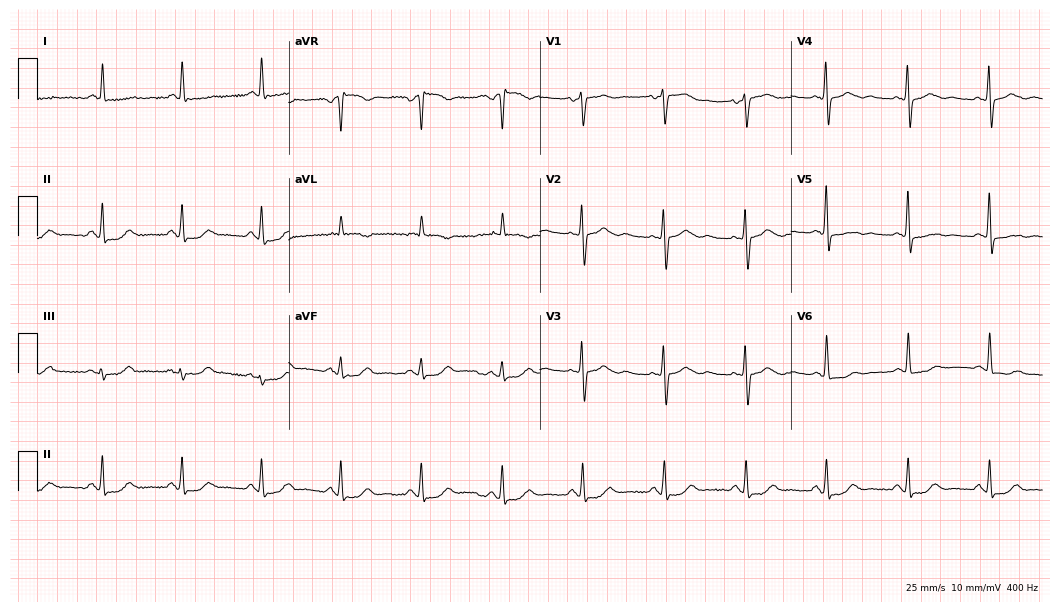
12-lead ECG from a female, 61 years old (10.2-second recording at 400 Hz). No first-degree AV block, right bundle branch block, left bundle branch block, sinus bradycardia, atrial fibrillation or sinus tachycardia recorded for this tracing.